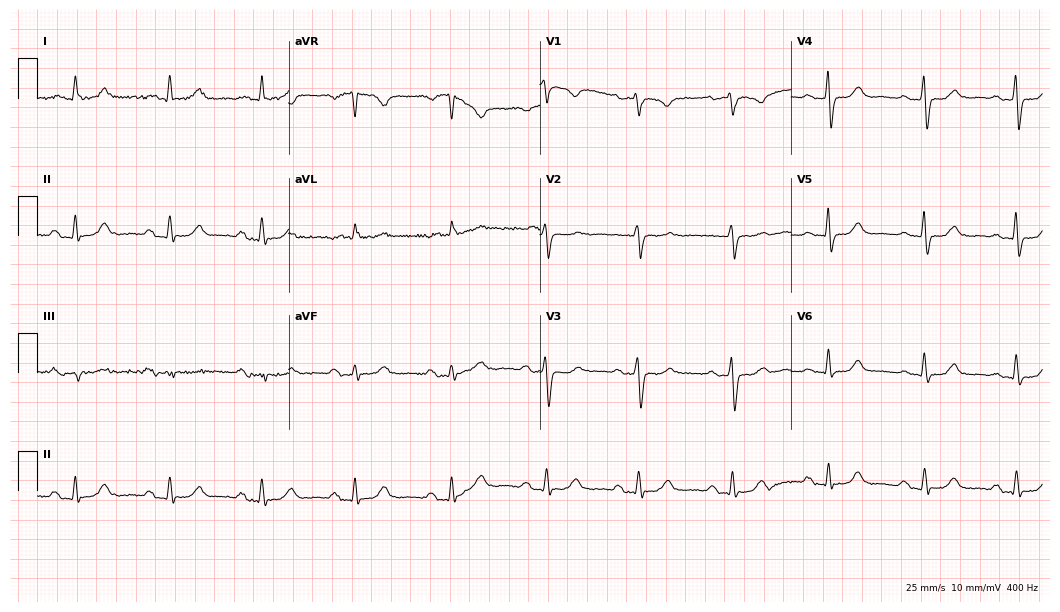
12-lead ECG from a female patient, 71 years old (10.2-second recording at 400 Hz). Shows first-degree AV block.